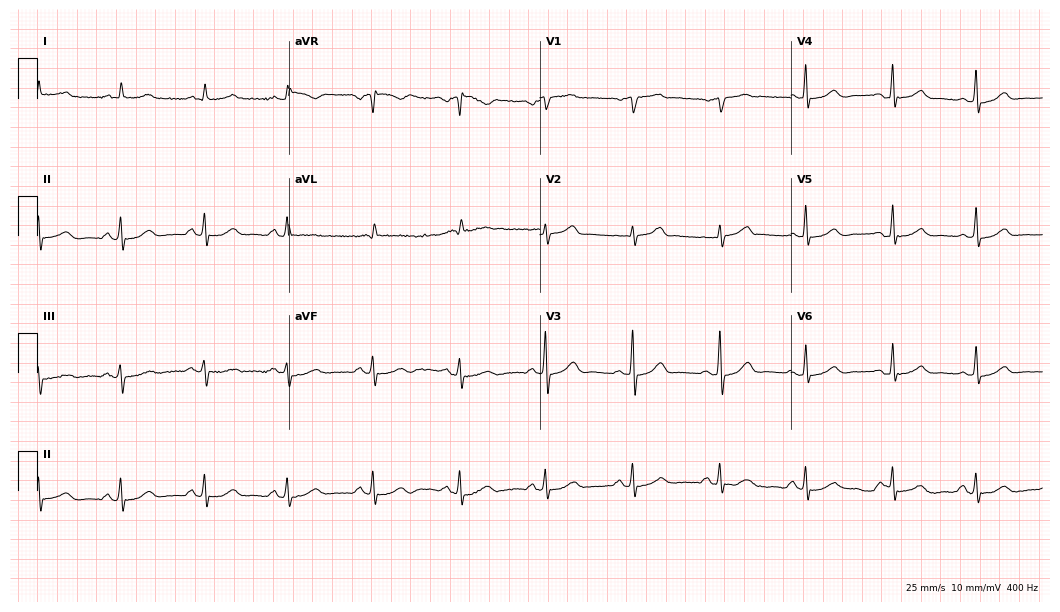
Electrocardiogram (10.2-second recording at 400 Hz), a 71-year-old male. Overall reading on record: normal ECG.